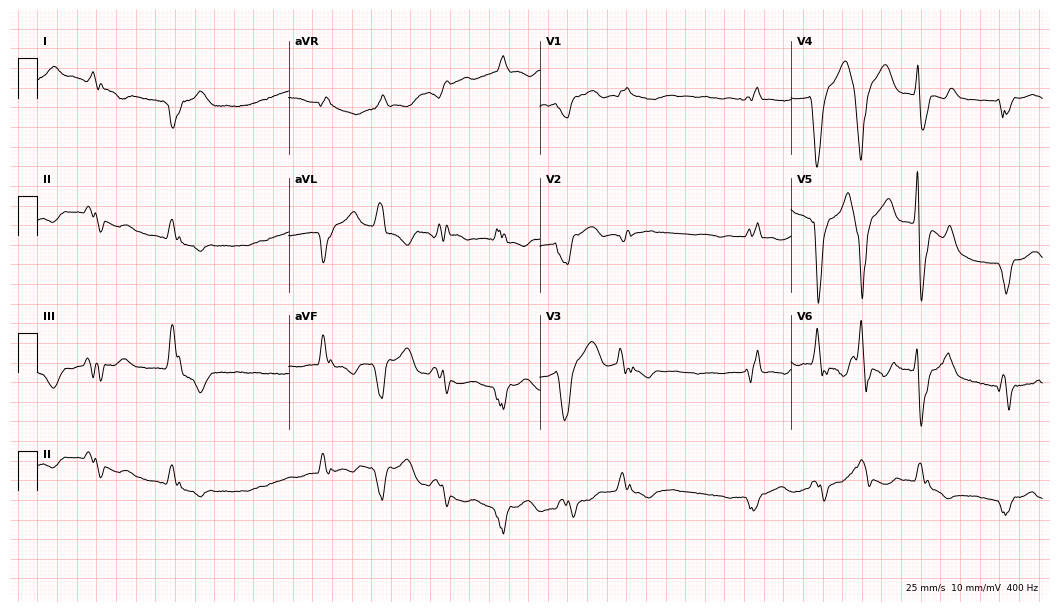
Electrocardiogram, a 61-year-old female patient. Of the six screened findings (first-degree AV block, right bundle branch block, left bundle branch block, sinus bradycardia, atrial fibrillation, sinus tachycardia), none is recorded.